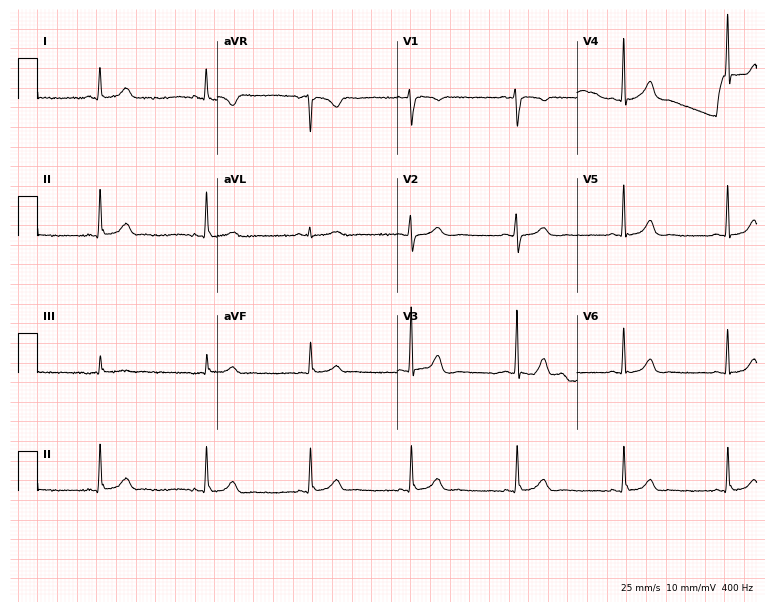
Standard 12-lead ECG recorded from a 30-year-old female. None of these six findings is recorded: first-degree AV block, right bundle branch block (RBBB), left bundle branch block (LBBB), sinus bradycardia, atrial fibrillation (AF), sinus tachycardia. Other findings, if any, are not listed.